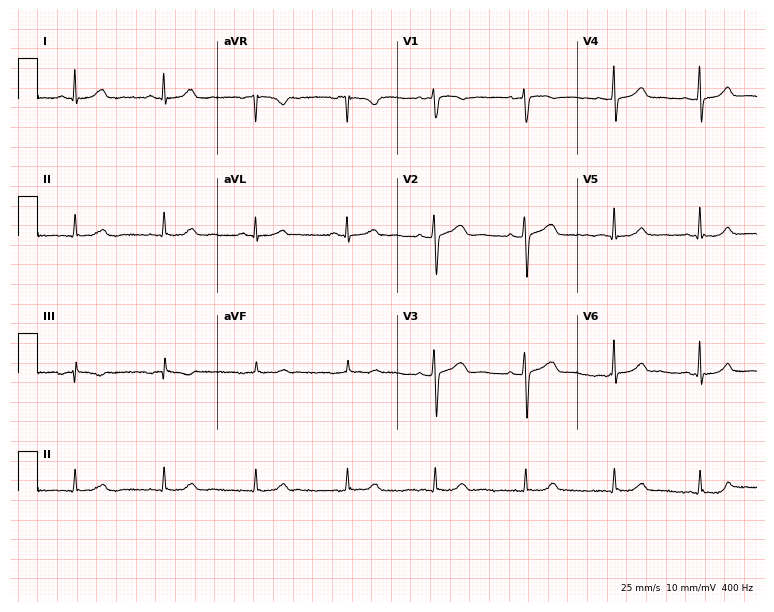
Electrocardiogram, a female, 53 years old. Of the six screened findings (first-degree AV block, right bundle branch block (RBBB), left bundle branch block (LBBB), sinus bradycardia, atrial fibrillation (AF), sinus tachycardia), none is recorded. Findings outside these six are not listed.